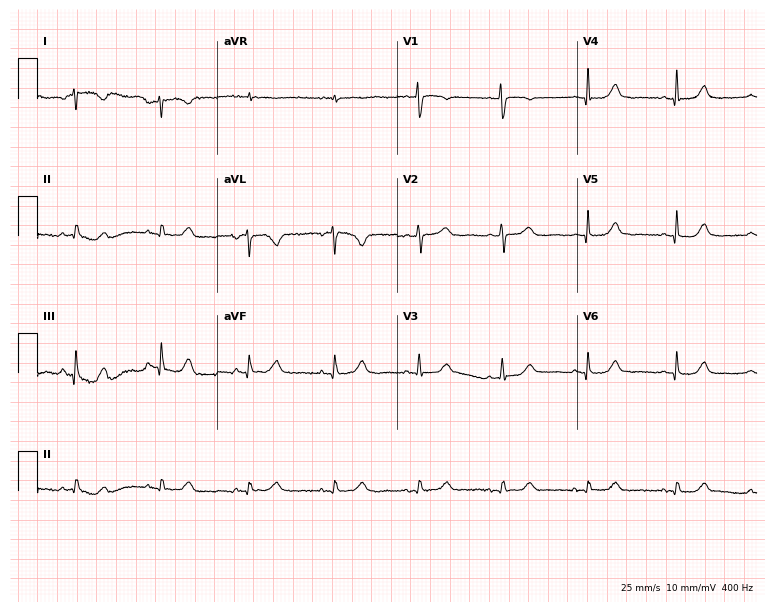
Resting 12-lead electrocardiogram. Patient: a female, 71 years old. Read as a normal ECG.